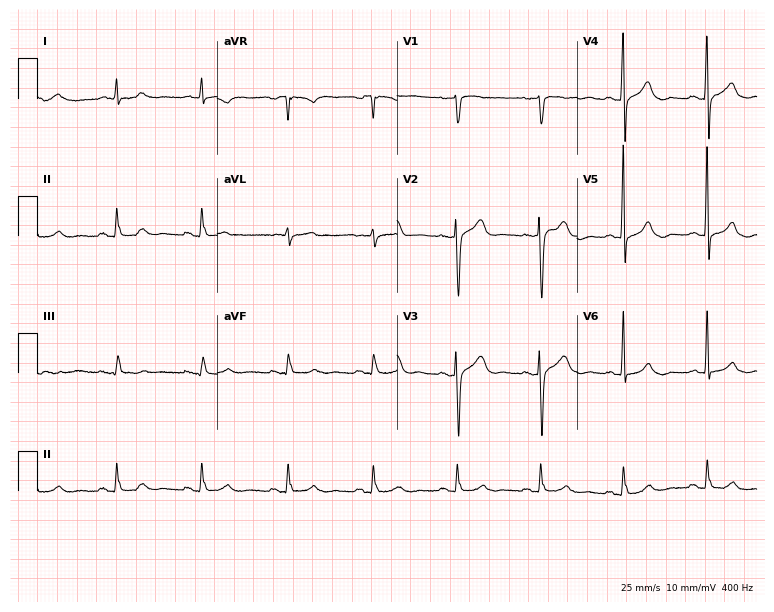
12-lead ECG from a man, 49 years old. Screened for six findings — first-degree AV block, right bundle branch block, left bundle branch block, sinus bradycardia, atrial fibrillation, sinus tachycardia — none is recorded. Other findings, if any, are not listed.